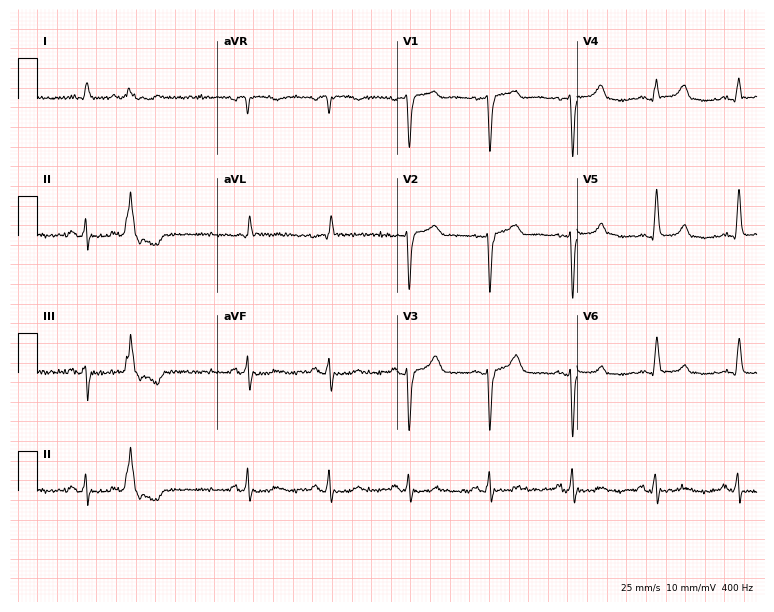
12-lead ECG (7.3-second recording at 400 Hz) from a 70-year-old male patient. Screened for six findings — first-degree AV block, right bundle branch block (RBBB), left bundle branch block (LBBB), sinus bradycardia, atrial fibrillation (AF), sinus tachycardia — none is recorded. Other findings, if any, are not listed.